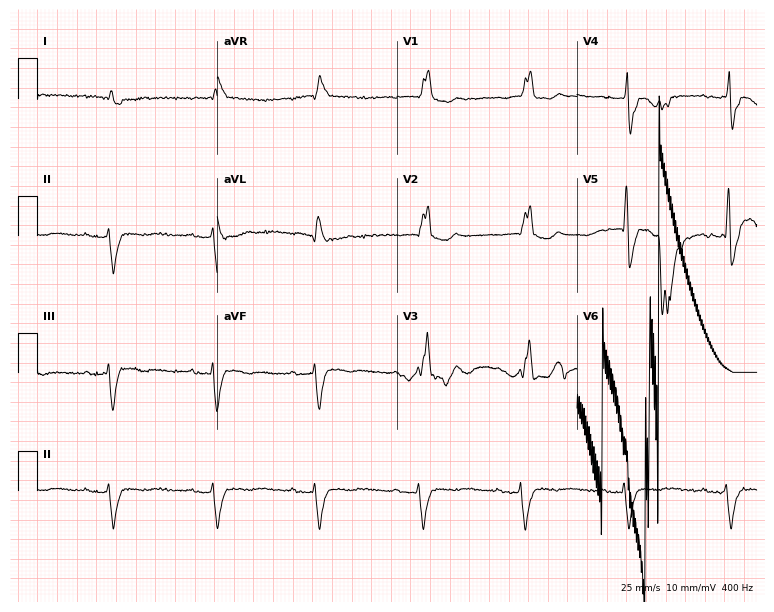
Electrocardiogram, an 84-year-old male. Of the six screened findings (first-degree AV block, right bundle branch block, left bundle branch block, sinus bradycardia, atrial fibrillation, sinus tachycardia), none is recorded.